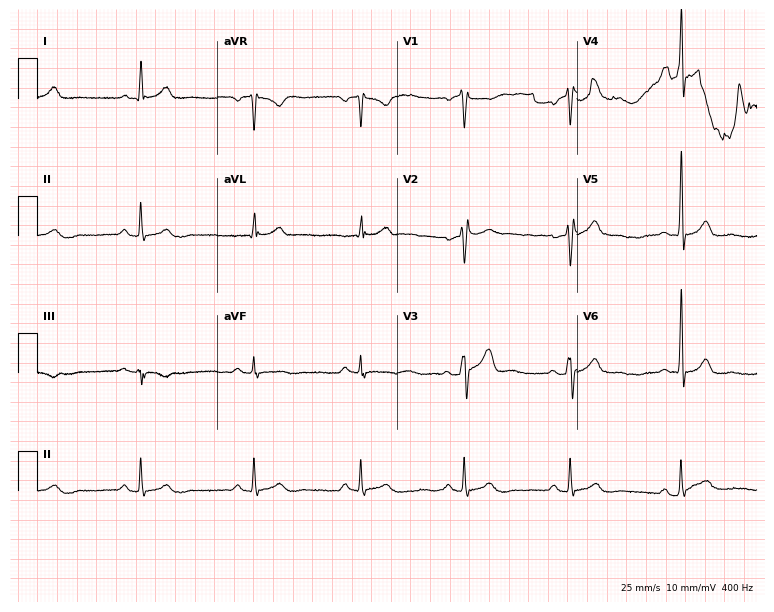
Electrocardiogram, a 40-year-old male. Of the six screened findings (first-degree AV block, right bundle branch block, left bundle branch block, sinus bradycardia, atrial fibrillation, sinus tachycardia), none is recorded. Findings outside these six are not listed.